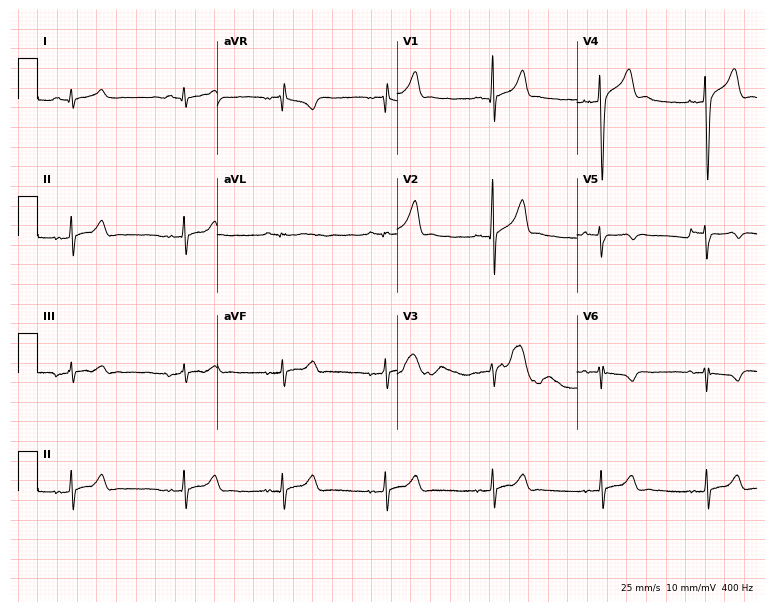
Standard 12-lead ECG recorded from an 18-year-old male patient. None of these six findings is recorded: first-degree AV block, right bundle branch block (RBBB), left bundle branch block (LBBB), sinus bradycardia, atrial fibrillation (AF), sinus tachycardia. Other findings, if any, are not listed.